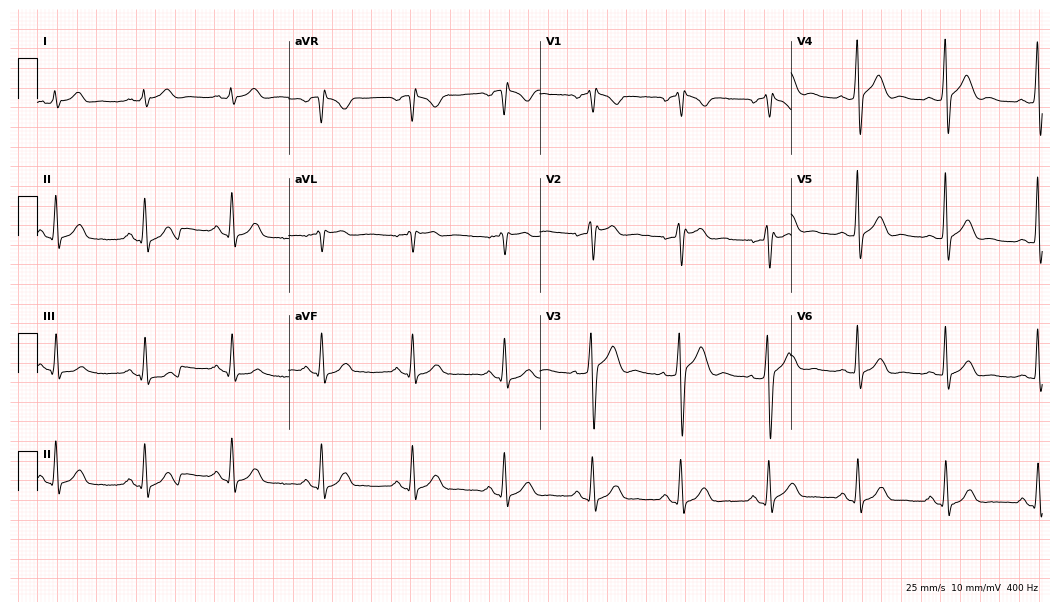
12-lead ECG from a 34-year-old male patient (10.2-second recording at 400 Hz). No first-degree AV block, right bundle branch block (RBBB), left bundle branch block (LBBB), sinus bradycardia, atrial fibrillation (AF) or sinus tachycardia recorded for this tracing.